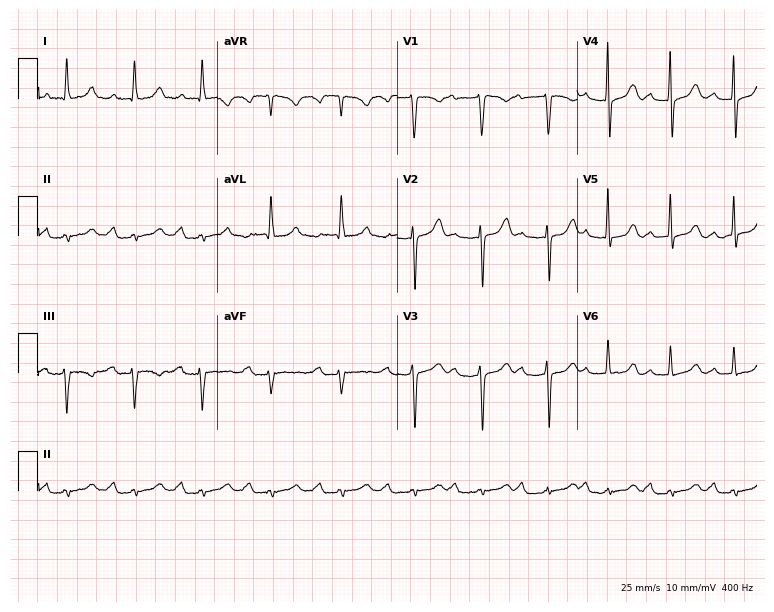
Standard 12-lead ECG recorded from a woman, 60 years old. The tracing shows first-degree AV block.